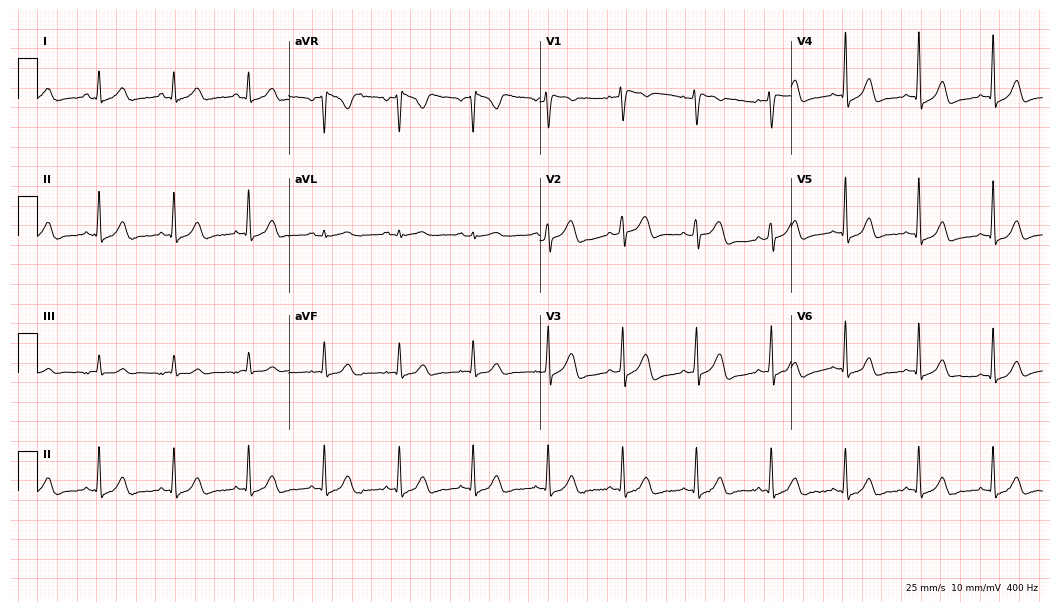
Standard 12-lead ECG recorded from a female, 39 years old (10.2-second recording at 400 Hz). Read as a normal ECG.